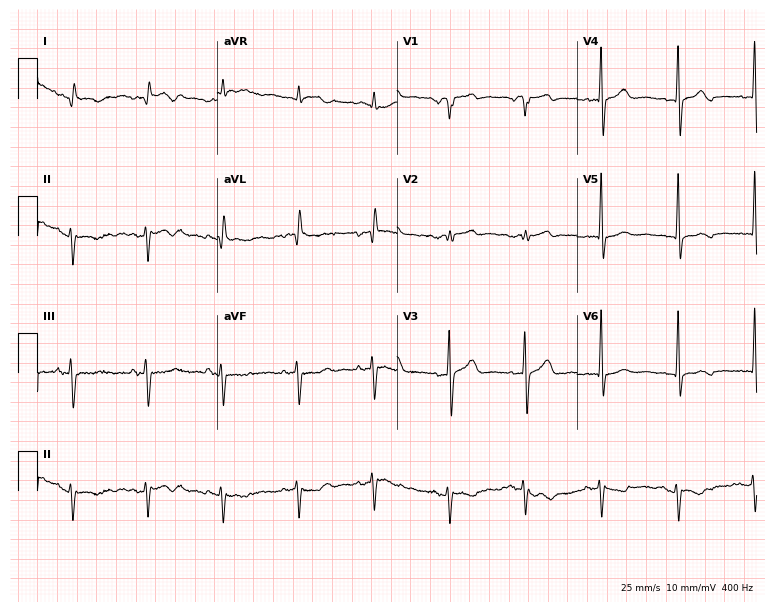
12-lead ECG from a 64-year-old male. No first-degree AV block, right bundle branch block, left bundle branch block, sinus bradycardia, atrial fibrillation or sinus tachycardia recorded for this tracing. Findings outside these six are not listed.